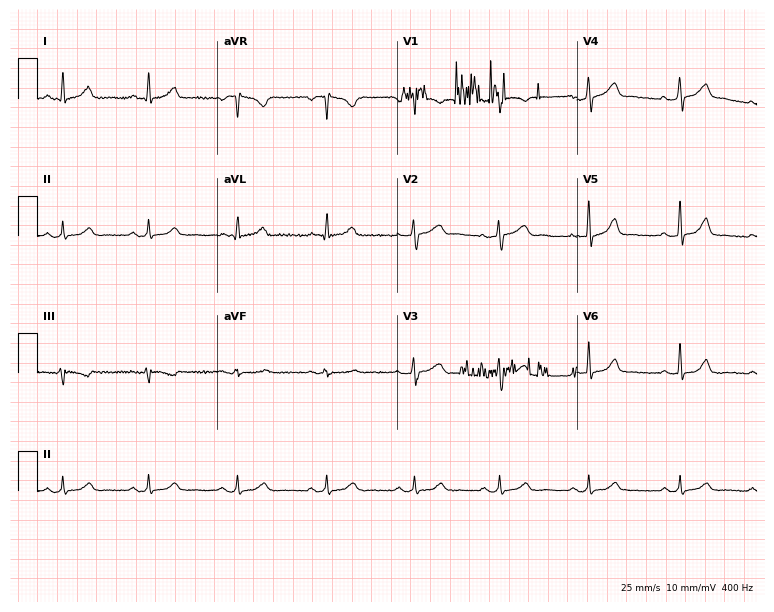
Electrocardiogram, a 47-year-old woman. Overall reading on record: normal ECG.